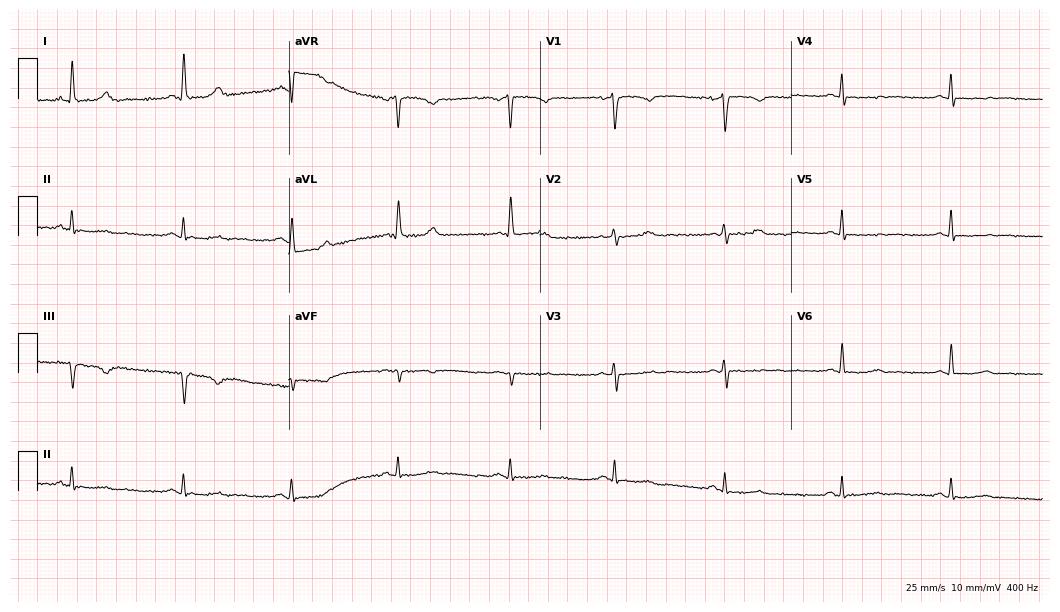
Standard 12-lead ECG recorded from a woman, 55 years old. None of these six findings is recorded: first-degree AV block, right bundle branch block, left bundle branch block, sinus bradycardia, atrial fibrillation, sinus tachycardia. Other findings, if any, are not listed.